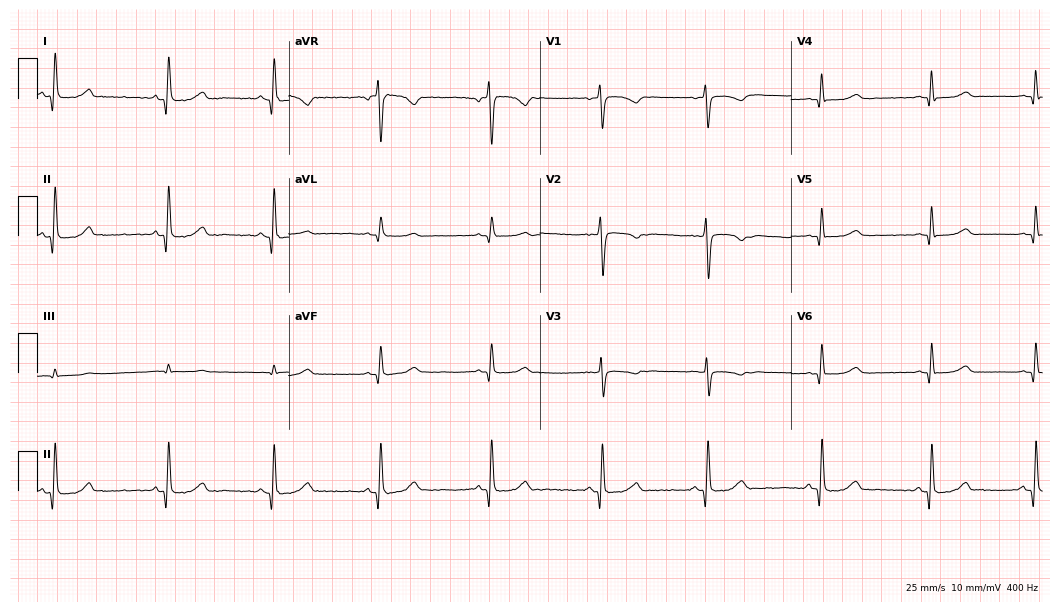
Electrocardiogram, a 35-year-old female patient. Of the six screened findings (first-degree AV block, right bundle branch block, left bundle branch block, sinus bradycardia, atrial fibrillation, sinus tachycardia), none is recorded.